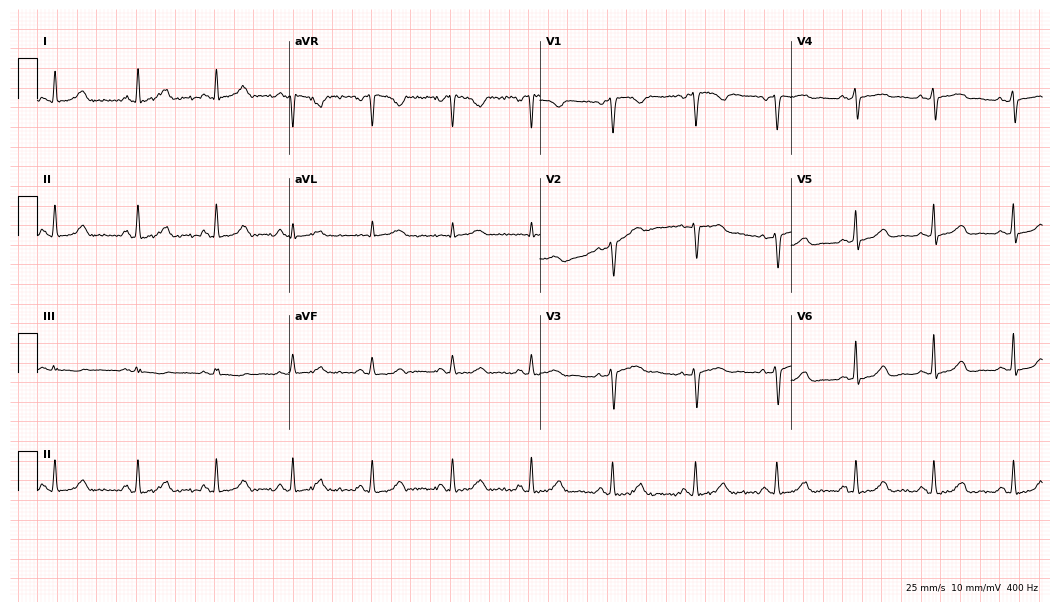
Standard 12-lead ECG recorded from a 49-year-old woman (10.2-second recording at 400 Hz). Read as a normal ECG.